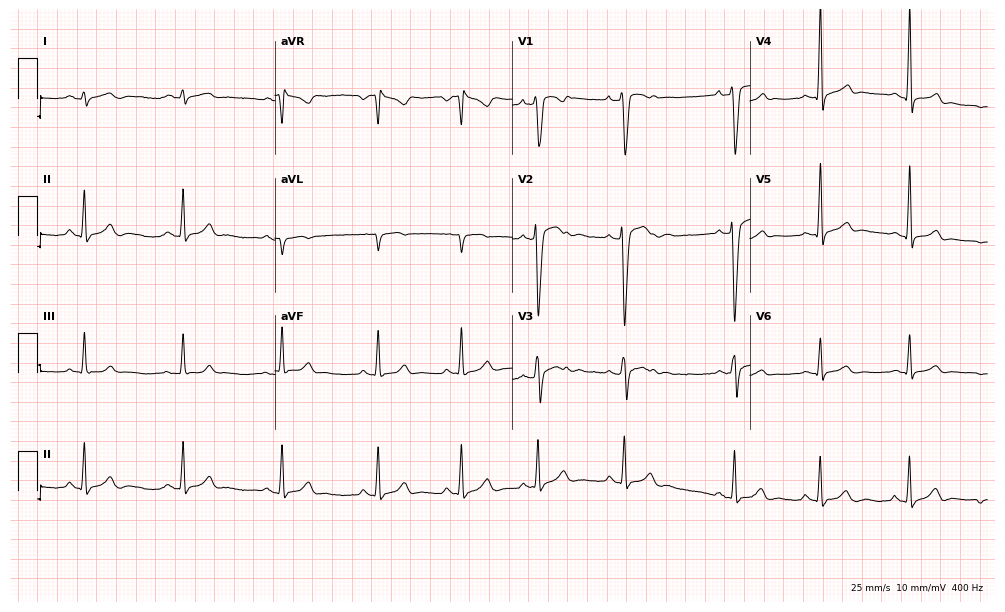
12-lead ECG (9.7-second recording at 400 Hz) from a male, 20 years old. Labelled as a normal ECG.